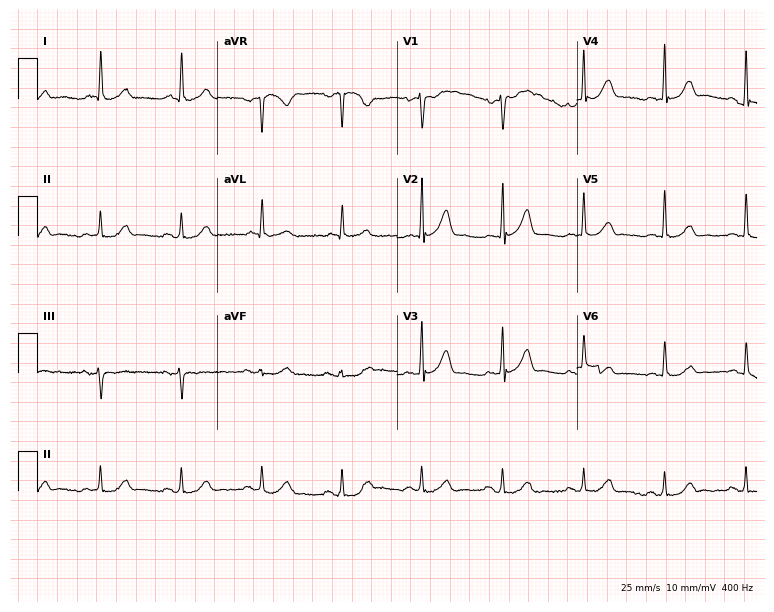
Standard 12-lead ECG recorded from a 60-year-old man. Read as a normal ECG.